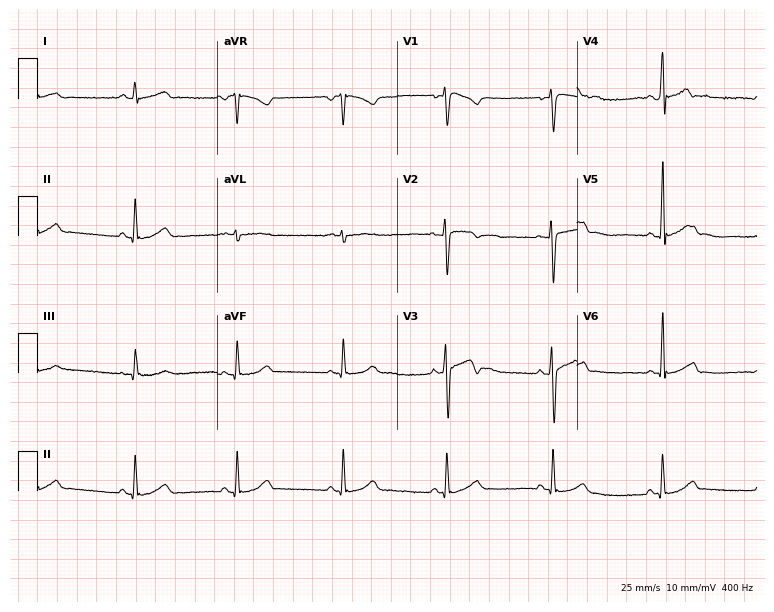
12-lead ECG from a male, 22 years old. Labelled as a normal ECG.